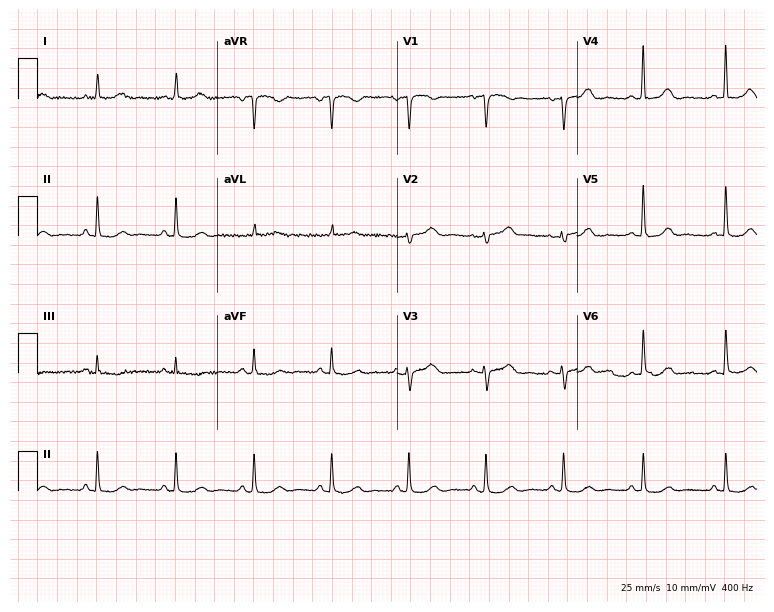
ECG — a 68-year-old female patient. Screened for six findings — first-degree AV block, right bundle branch block (RBBB), left bundle branch block (LBBB), sinus bradycardia, atrial fibrillation (AF), sinus tachycardia — none is recorded. Only these six findings were labelled.